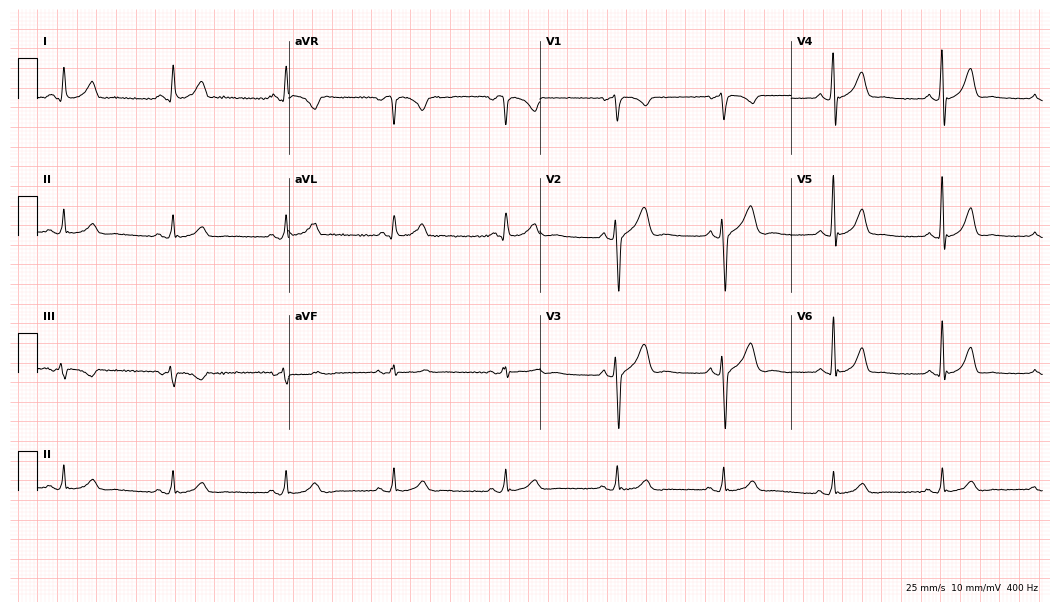
12-lead ECG (10.2-second recording at 400 Hz) from a 38-year-old man. Screened for six findings — first-degree AV block, right bundle branch block (RBBB), left bundle branch block (LBBB), sinus bradycardia, atrial fibrillation (AF), sinus tachycardia — none is recorded. Other findings, if any, are not listed.